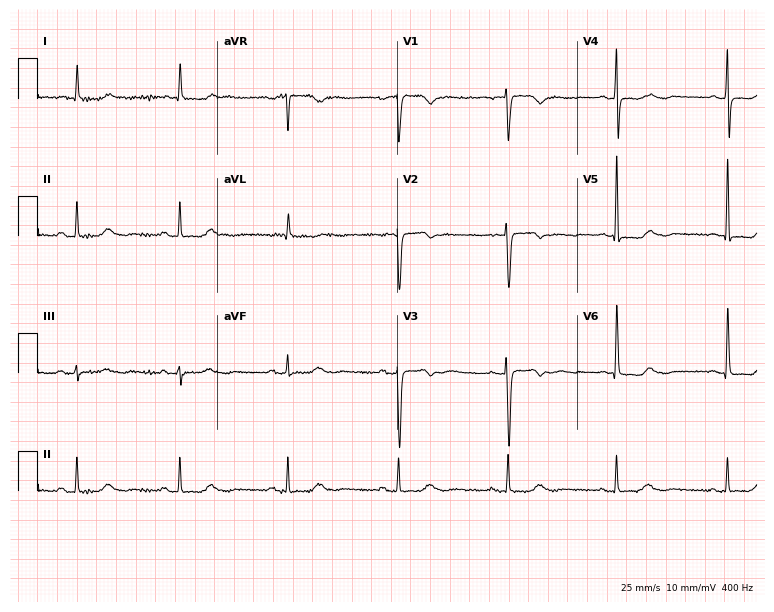
Resting 12-lead electrocardiogram (7.3-second recording at 400 Hz). Patient: a female, 85 years old. None of these six findings is recorded: first-degree AV block, right bundle branch block, left bundle branch block, sinus bradycardia, atrial fibrillation, sinus tachycardia.